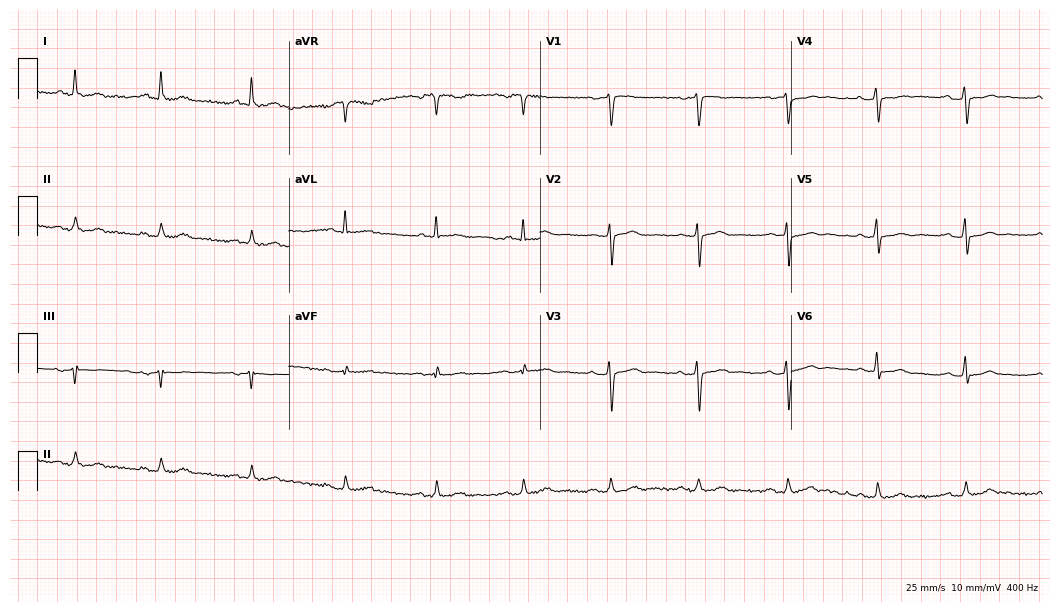
ECG — a 58-year-old male patient. Screened for six findings — first-degree AV block, right bundle branch block, left bundle branch block, sinus bradycardia, atrial fibrillation, sinus tachycardia — none is recorded. Other findings, if any, are not listed.